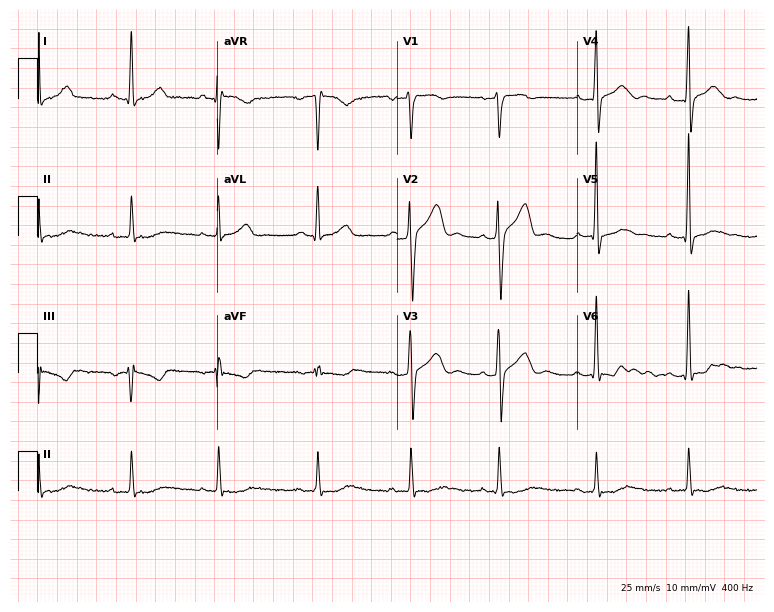
Resting 12-lead electrocardiogram (7.3-second recording at 400 Hz). Patient: a man, 50 years old. None of these six findings is recorded: first-degree AV block, right bundle branch block, left bundle branch block, sinus bradycardia, atrial fibrillation, sinus tachycardia.